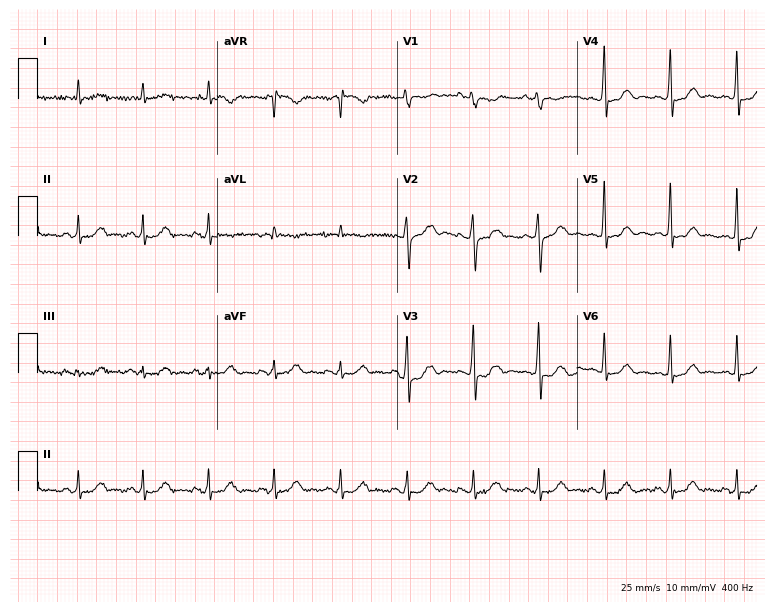
Resting 12-lead electrocardiogram. Patient: a male, 75 years old. Read as a normal ECG.